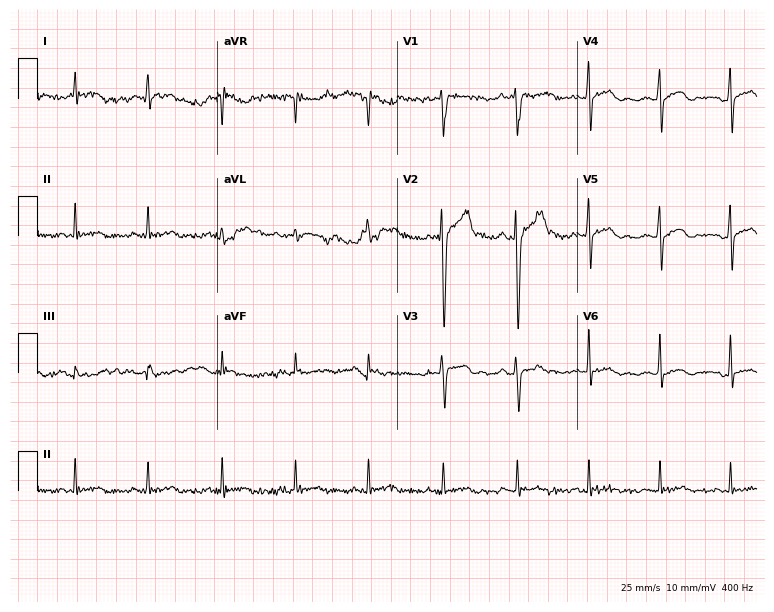
Resting 12-lead electrocardiogram (7.3-second recording at 400 Hz). Patient: a 21-year-old man. Read as a normal ECG.